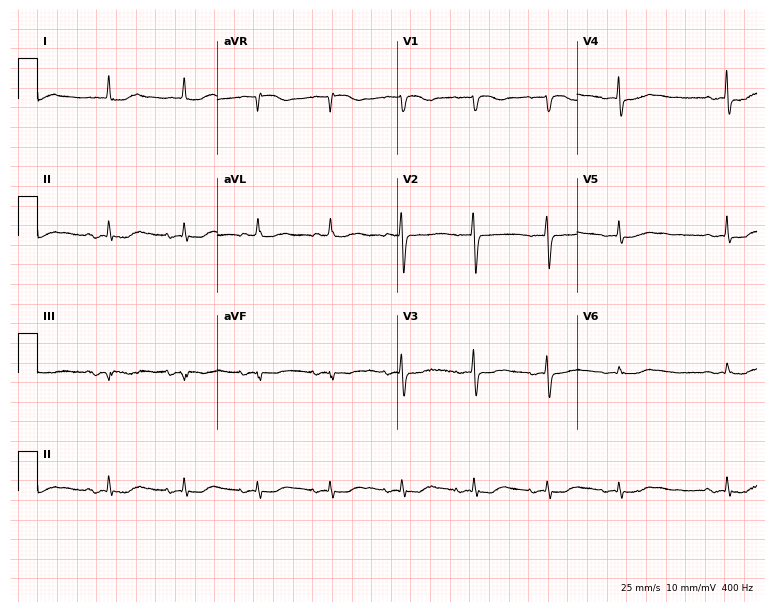
12-lead ECG from an 81-year-old woman. Labelled as a normal ECG.